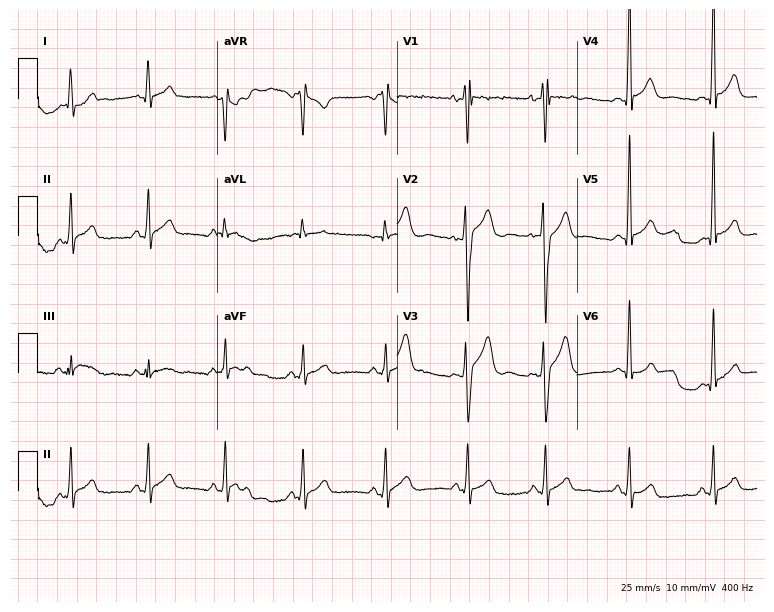
ECG — a 19-year-old man. Screened for six findings — first-degree AV block, right bundle branch block, left bundle branch block, sinus bradycardia, atrial fibrillation, sinus tachycardia — none is recorded. Findings outside these six are not listed.